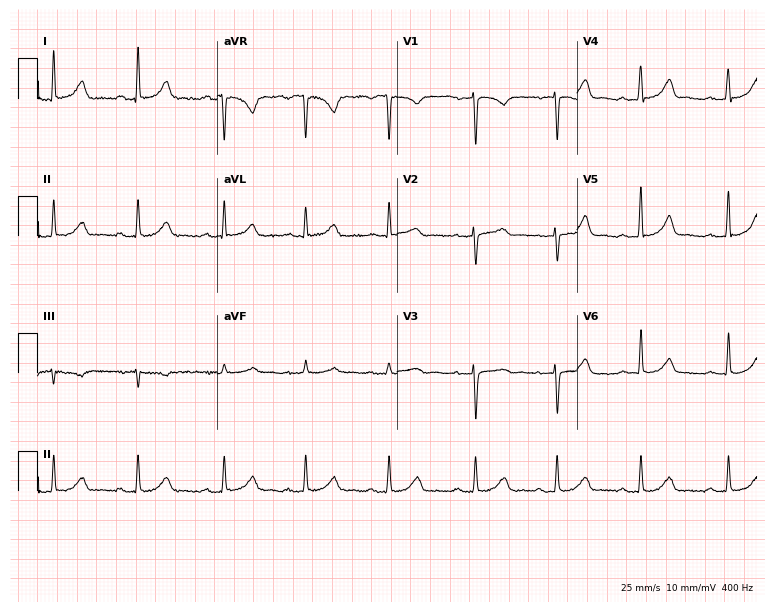
12-lead ECG (7.3-second recording at 400 Hz) from a woman, 47 years old. Screened for six findings — first-degree AV block, right bundle branch block, left bundle branch block, sinus bradycardia, atrial fibrillation, sinus tachycardia — none is recorded. Other findings, if any, are not listed.